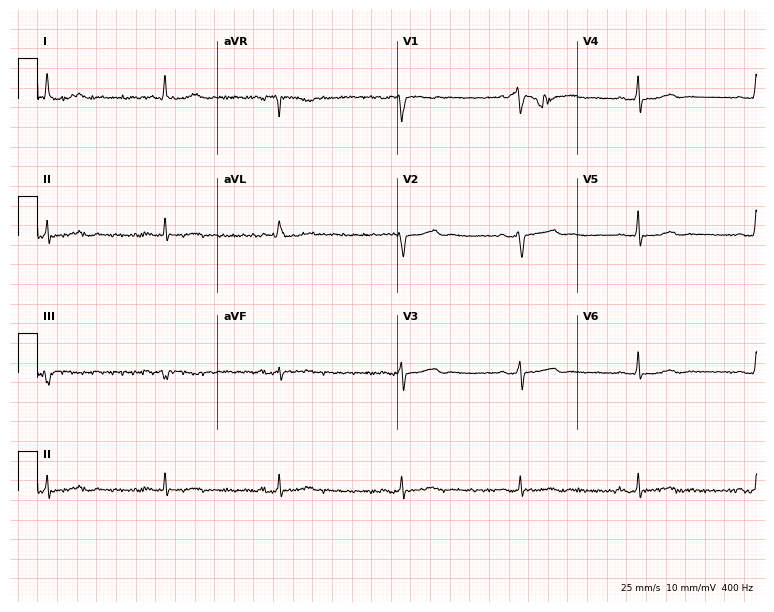
Resting 12-lead electrocardiogram (7.3-second recording at 400 Hz). Patient: an 81-year-old woman. The tracing shows sinus bradycardia (a sinus rate of 50 beats per minute or less).